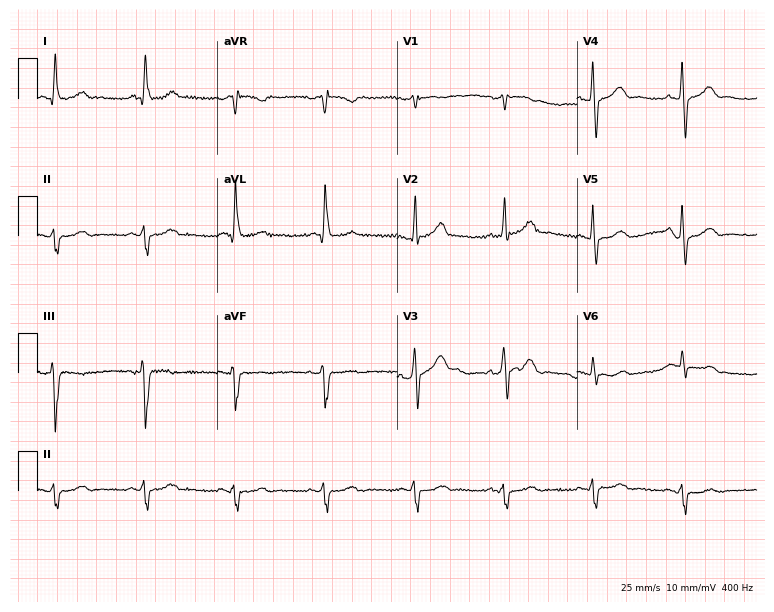
ECG — a male patient, 72 years old. Screened for six findings — first-degree AV block, right bundle branch block, left bundle branch block, sinus bradycardia, atrial fibrillation, sinus tachycardia — none is recorded.